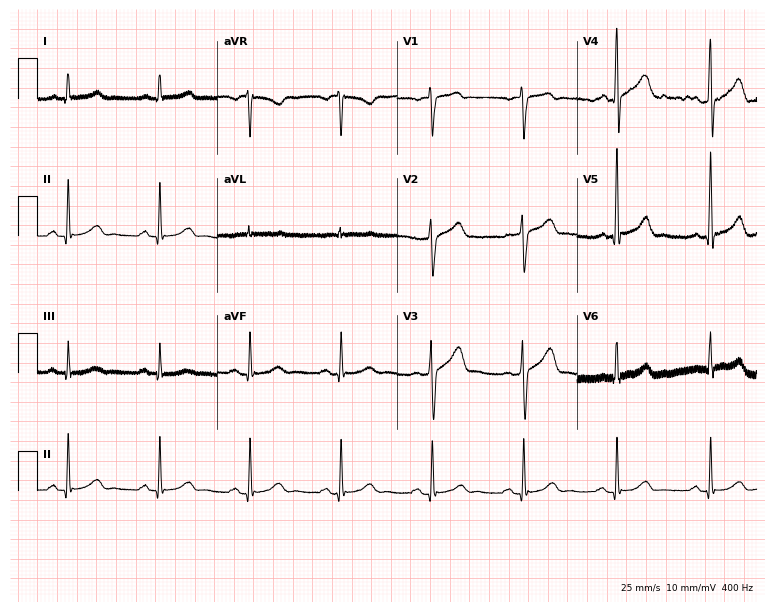
ECG — a 53-year-old man. Screened for six findings — first-degree AV block, right bundle branch block, left bundle branch block, sinus bradycardia, atrial fibrillation, sinus tachycardia — none is recorded.